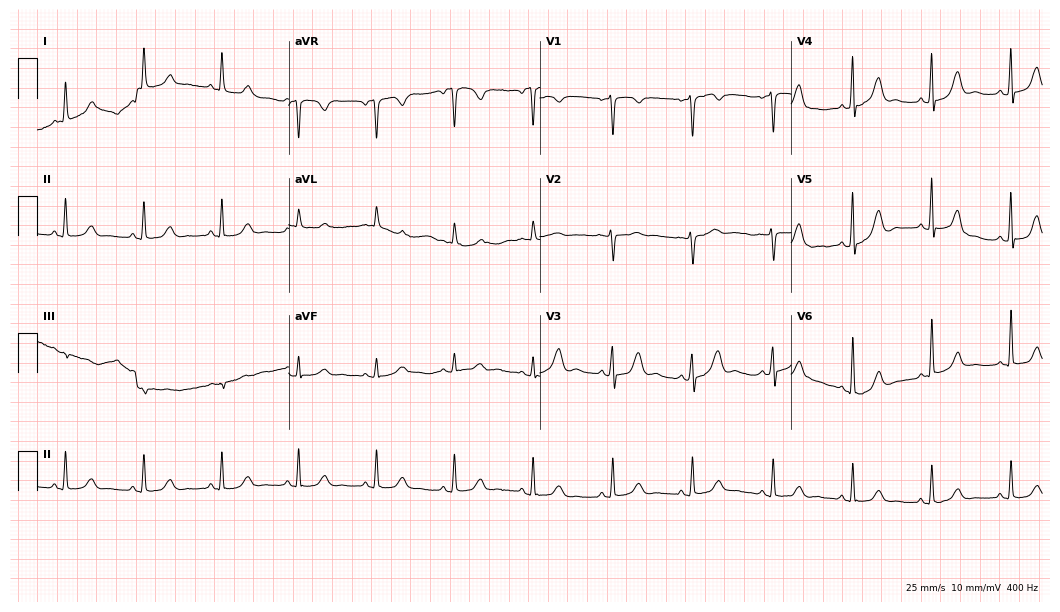
12-lead ECG from a woman, 78 years old. Labelled as a normal ECG.